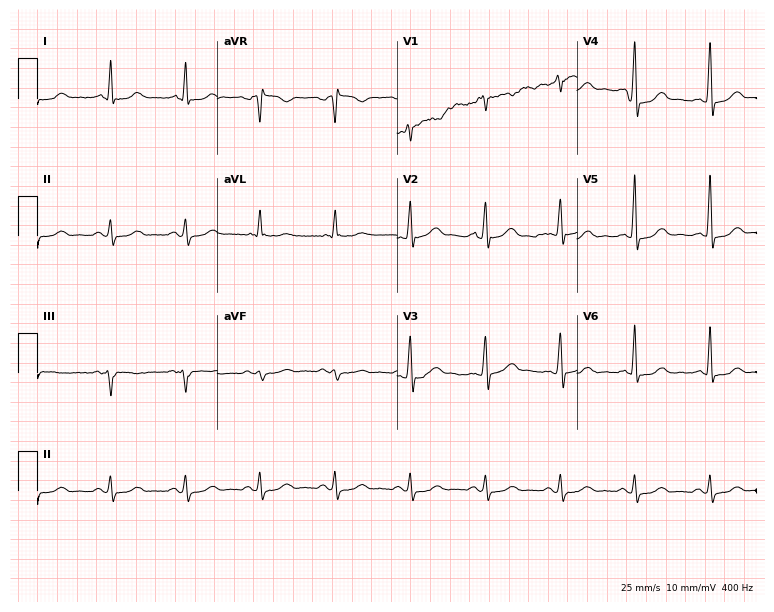
Resting 12-lead electrocardiogram. Patient: a 66-year-old man. None of these six findings is recorded: first-degree AV block, right bundle branch block, left bundle branch block, sinus bradycardia, atrial fibrillation, sinus tachycardia.